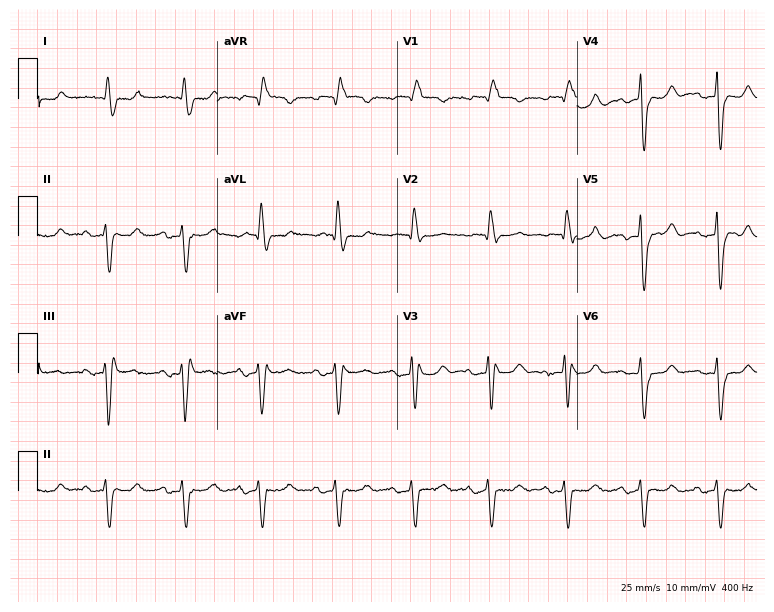
Resting 12-lead electrocardiogram. Patient: a female, 84 years old. The tracing shows right bundle branch block (RBBB).